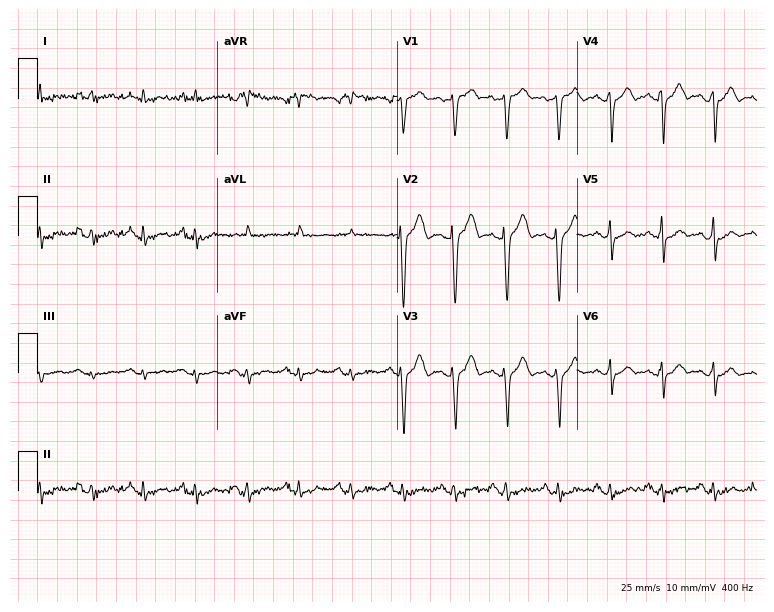
Standard 12-lead ECG recorded from a male patient, 73 years old. The tracing shows sinus tachycardia (a sinus rate of 100 beats per minute or more).